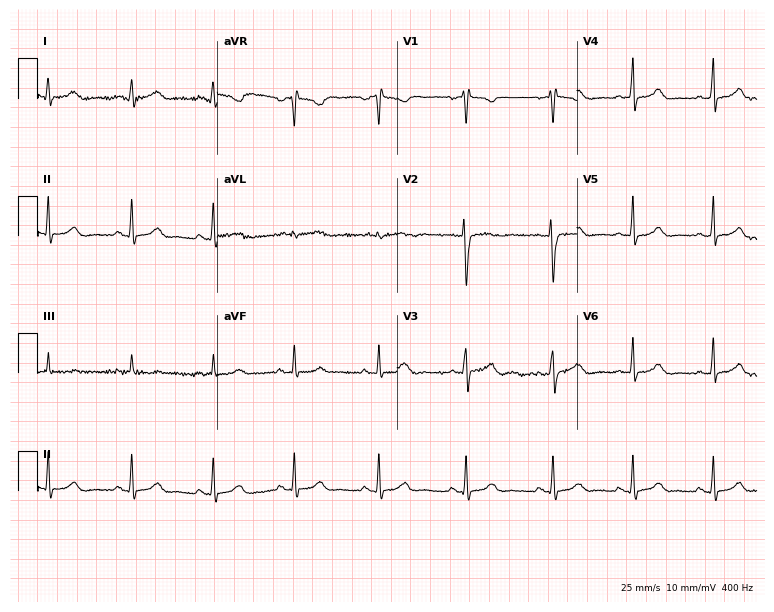
12-lead ECG (7.3-second recording at 400 Hz) from a 19-year-old female. Screened for six findings — first-degree AV block, right bundle branch block, left bundle branch block, sinus bradycardia, atrial fibrillation, sinus tachycardia — none is recorded.